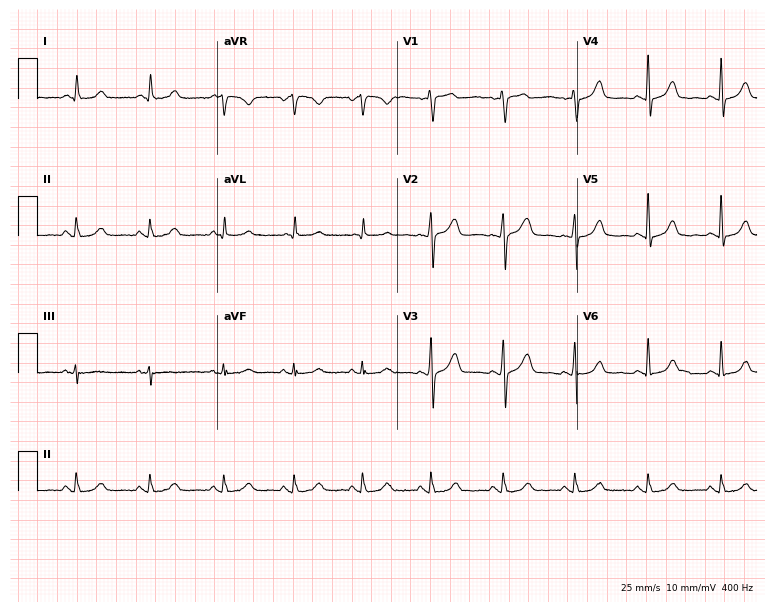
ECG (7.3-second recording at 400 Hz) — a 50-year-old female patient. Labelled as a normal ECG.